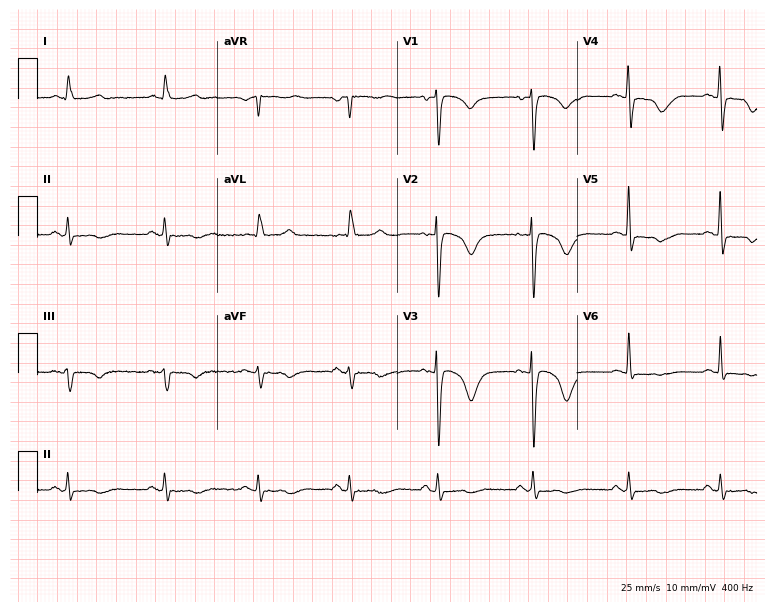
12-lead ECG from an 83-year-old woman. Screened for six findings — first-degree AV block, right bundle branch block, left bundle branch block, sinus bradycardia, atrial fibrillation, sinus tachycardia — none is recorded. Findings outside these six are not listed.